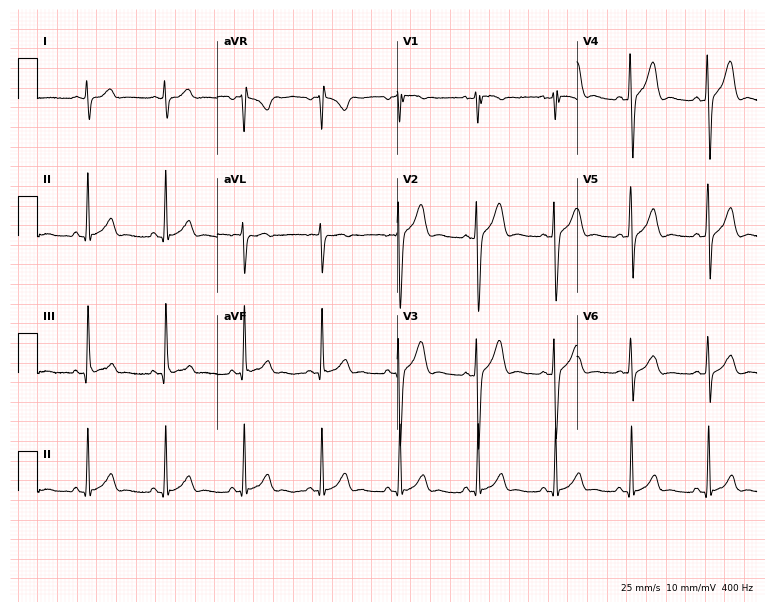
Standard 12-lead ECG recorded from a 32-year-old male patient (7.3-second recording at 400 Hz). None of these six findings is recorded: first-degree AV block, right bundle branch block (RBBB), left bundle branch block (LBBB), sinus bradycardia, atrial fibrillation (AF), sinus tachycardia.